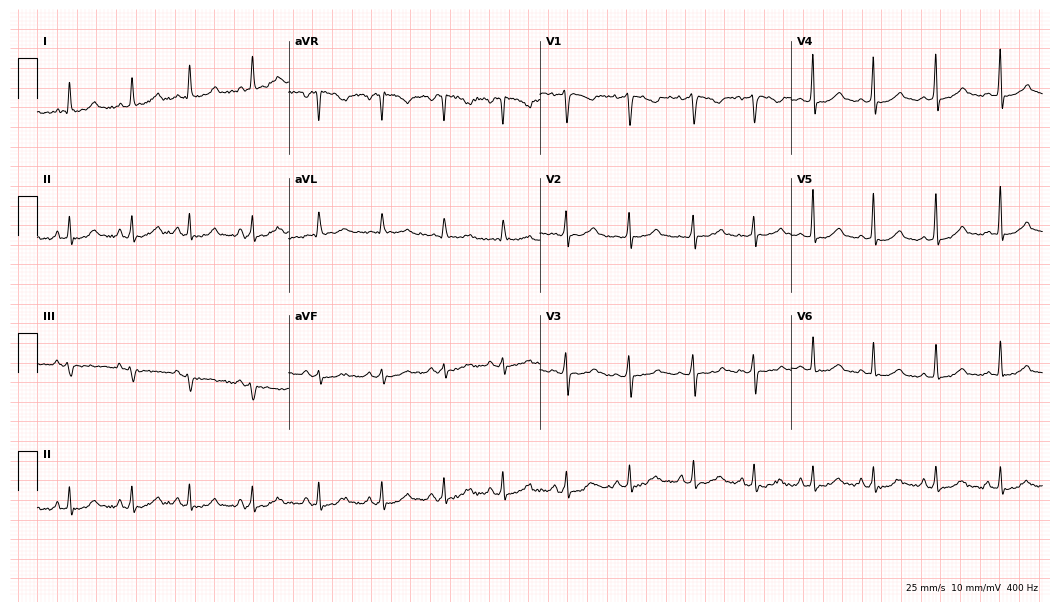
Electrocardiogram, a female, 41 years old. Overall reading on record: normal ECG.